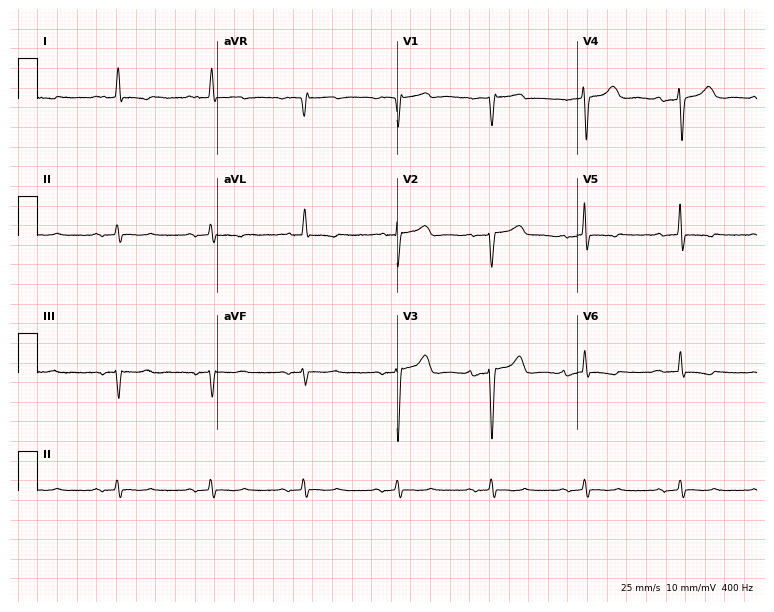
Standard 12-lead ECG recorded from a 79-year-old man (7.3-second recording at 400 Hz). The tracing shows first-degree AV block, atrial fibrillation.